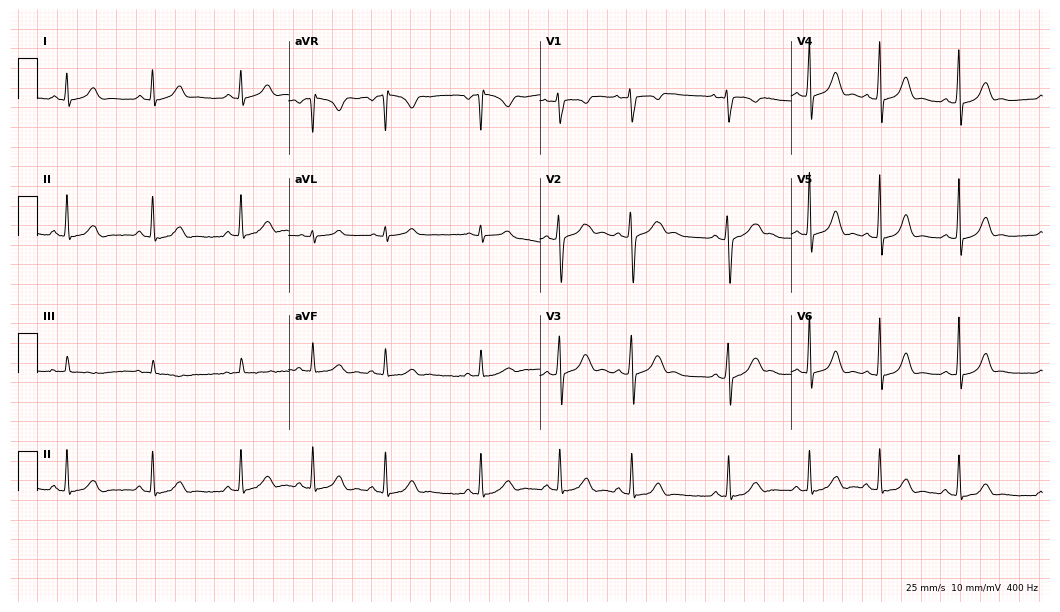
Standard 12-lead ECG recorded from an 18-year-old female patient (10.2-second recording at 400 Hz). Read as a normal ECG.